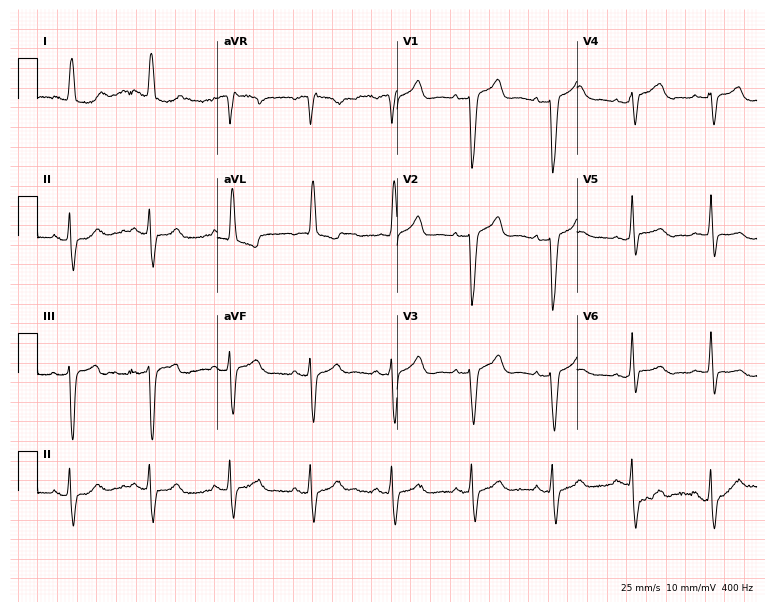
Electrocardiogram (7.3-second recording at 400 Hz), a woman, 79 years old. Of the six screened findings (first-degree AV block, right bundle branch block, left bundle branch block, sinus bradycardia, atrial fibrillation, sinus tachycardia), none is recorded.